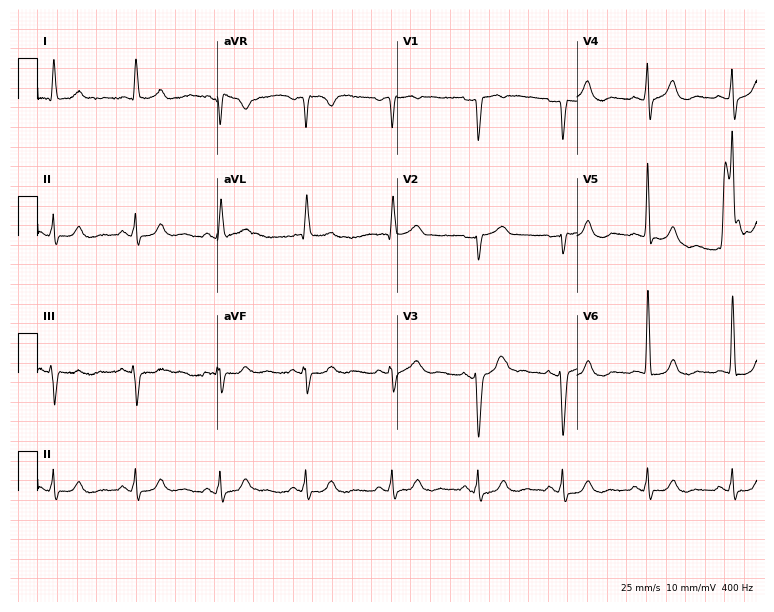
ECG (7.3-second recording at 400 Hz) — a 71-year-old man. Labelled as a normal ECG.